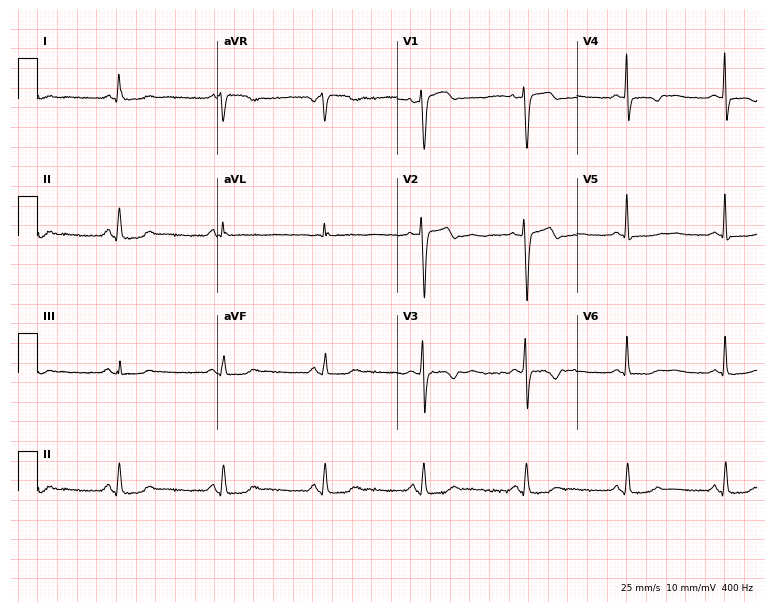
Standard 12-lead ECG recorded from a 56-year-old female patient. None of these six findings is recorded: first-degree AV block, right bundle branch block, left bundle branch block, sinus bradycardia, atrial fibrillation, sinus tachycardia. Findings outside these six are not listed.